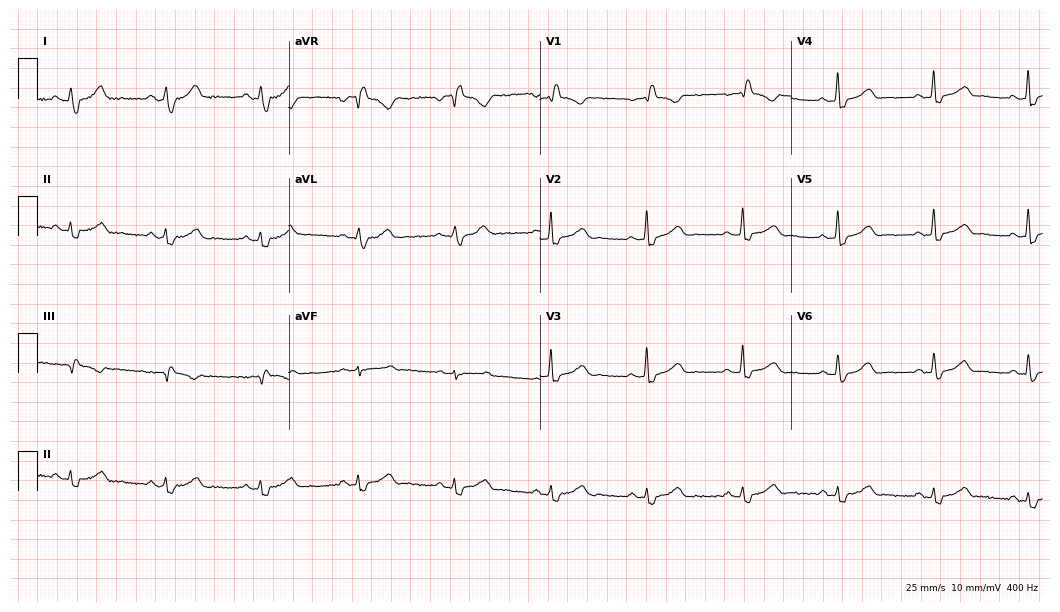
12-lead ECG from a 37-year-old female (10.2-second recording at 400 Hz). Shows right bundle branch block.